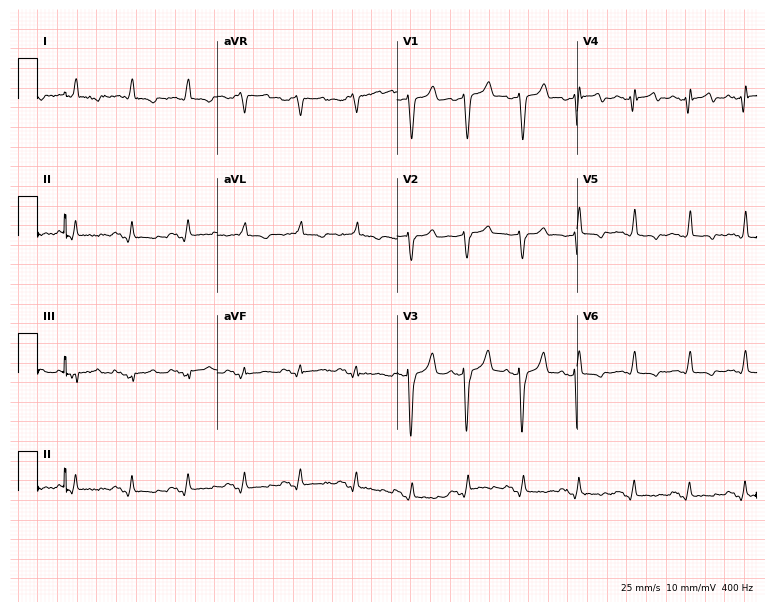
Electrocardiogram (7.3-second recording at 400 Hz), a male, 77 years old. Of the six screened findings (first-degree AV block, right bundle branch block (RBBB), left bundle branch block (LBBB), sinus bradycardia, atrial fibrillation (AF), sinus tachycardia), none is recorded.